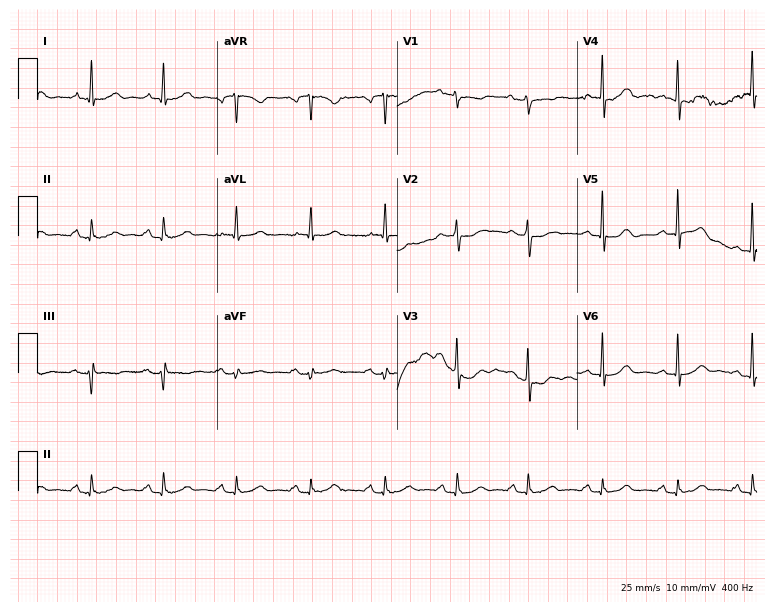
Electrocardiogram (7.3-second recording at 400 Hz), a female patient, 67 years old. Overall reading on record: normal ECG.